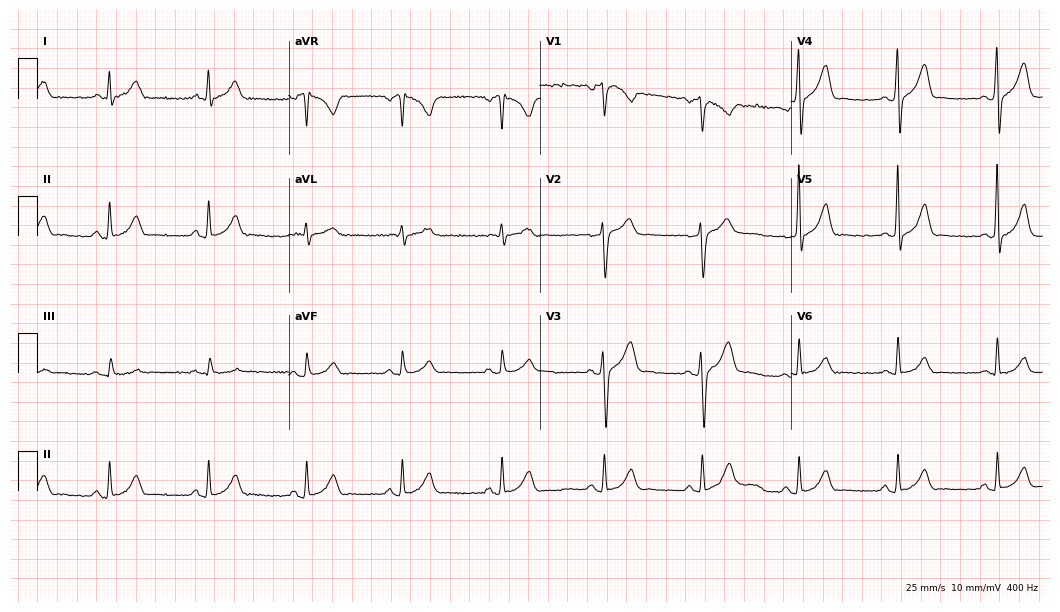
12-lead ECG (10.2-second recording at 400 Hz) from a 45-year-old male. Labelled as a normal ECG.